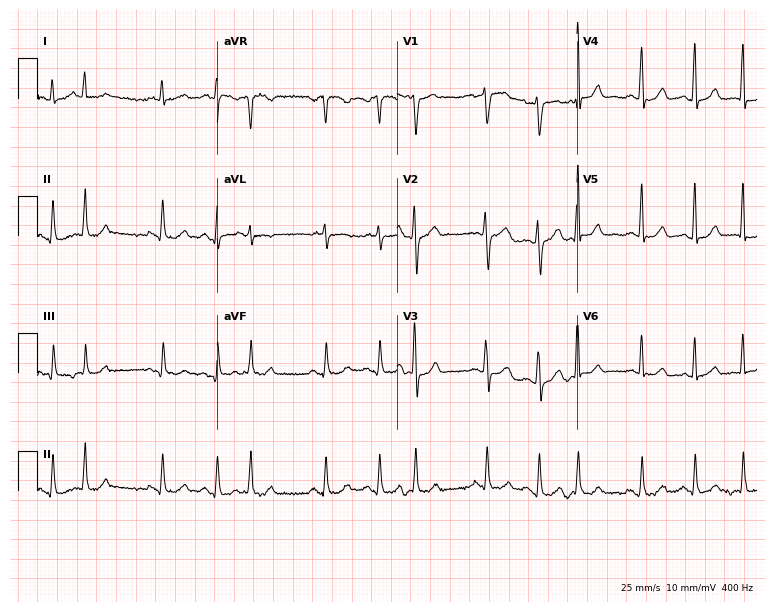
Standard 12-lead ECG recorded from a 65-year-old male patient (7.3-second recording at 400 Hz). None of these six findings is recorded: first-degree AV block, right bundle branch block (RBBB), left bundle branch block (LBBB), sinus bradycardia, atrial fibrillation (AF), sinus tachycardia. Other findings, if any, are not listed.